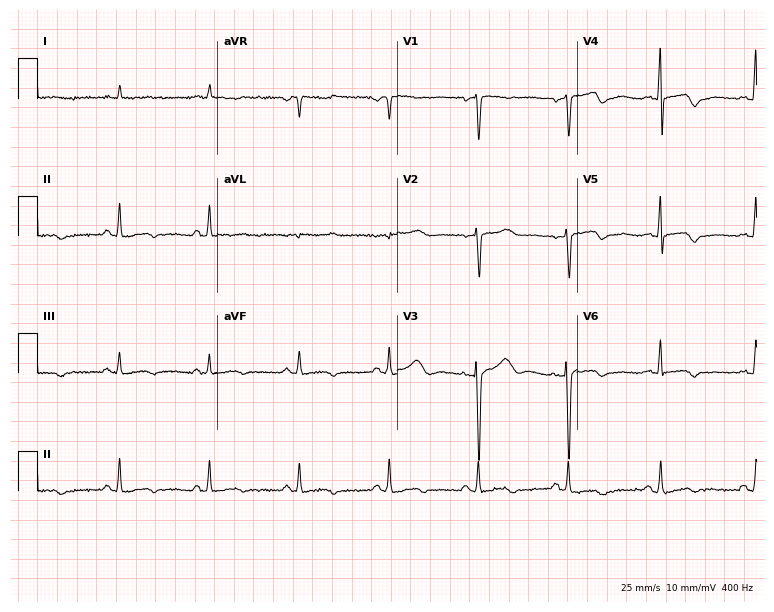
Electrocardiogram, a female, 76 years old. Of the six screened findings (first-degree AV block, right bundle branch block, left bundle branch block, sinus bradycardia, atrial fibrillation, sinus tachycardia), none is recorded.